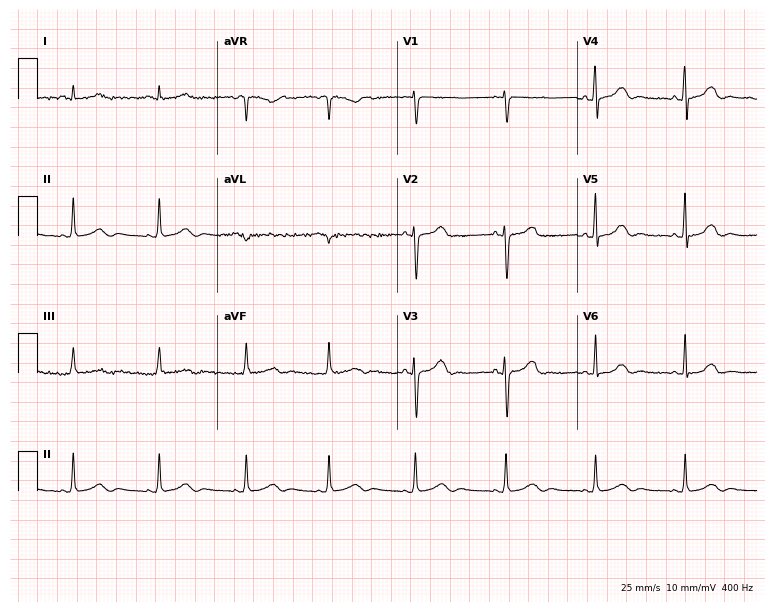
Standard 12-lead ECG recorded from a woman, 34 years old. Read as a normal ECG.